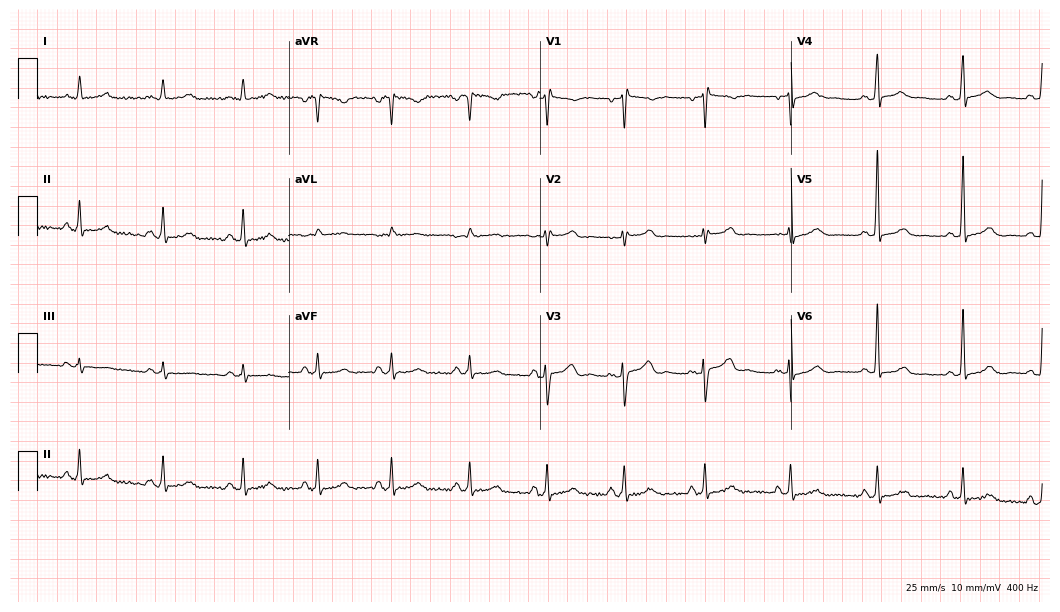
12-lead ECG from a 47-year-old female. No first-degree AV block, right bundle branch block, left bundle branch block, sinus bradycardia, atrial fibrillation or sinus tachycardia recorded for this tracing. Other findings, if any, are not listed.